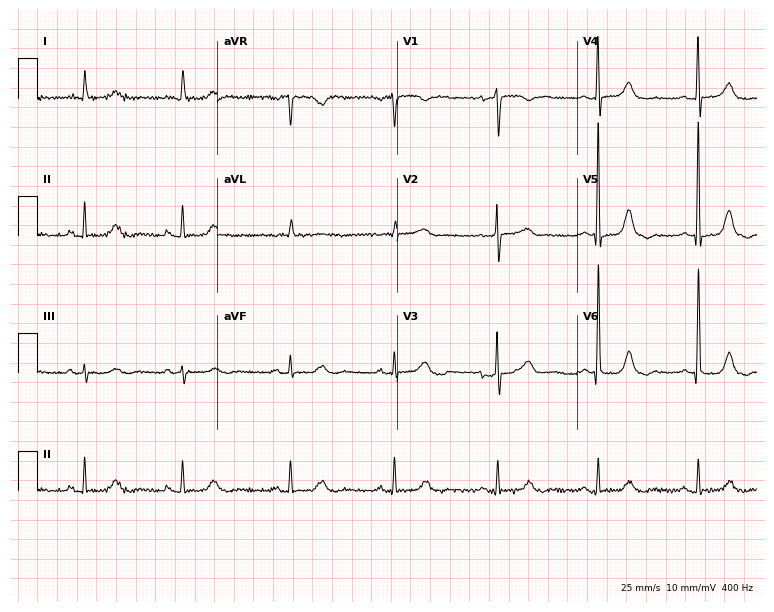
ECG (7.3-second recording at 400 Hz) — a woman, 85 years old. Labelled as a normal ECG.